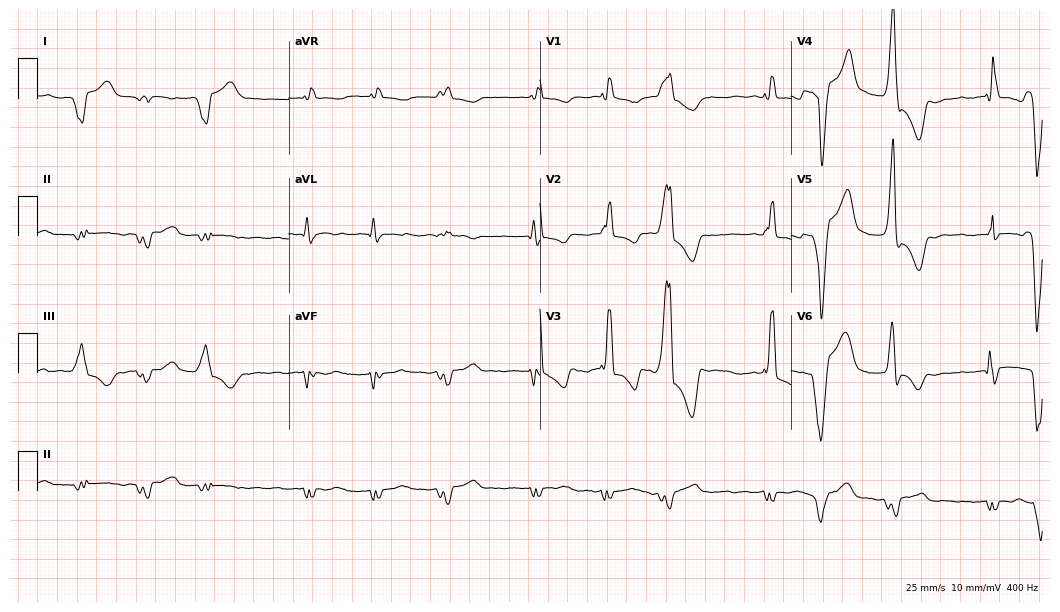
ECG (10.2-second recording at 400 Hz) — a male, 84 years old. Screened for six findings — first-degree AV block, right bundle branch block (RBBB), left bundle branch block (LBBB), sinus bradycardia, atrial fibrillation (AF), sinus tachycardia — none is recorded. Only these six findings were labelled.